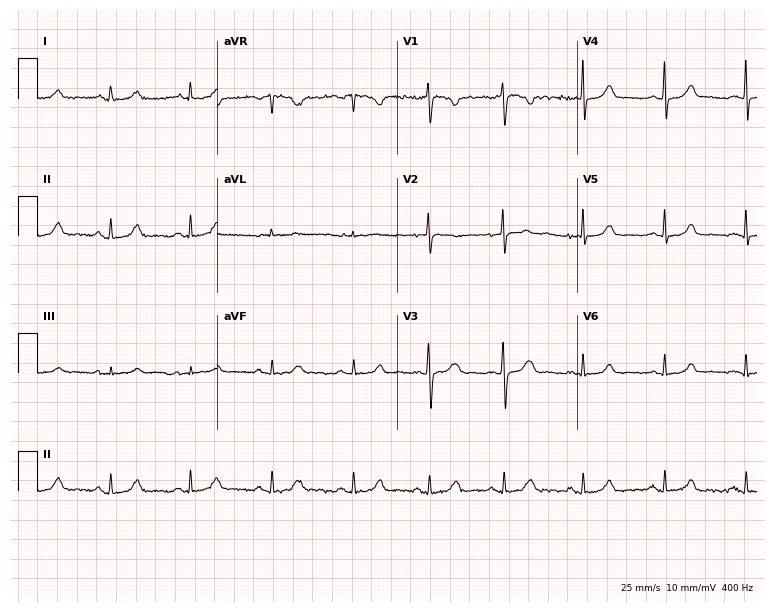
ECG (7.3-second recording at 400 Hz) — a female, 29 years old. Screened for six findings — first-degree AV block, right bundle branch block, left bundle branch block, sinus bradycardia, atrial fibrillation, sinus tachycardia — none is recorded. Only these six findings were labelled.